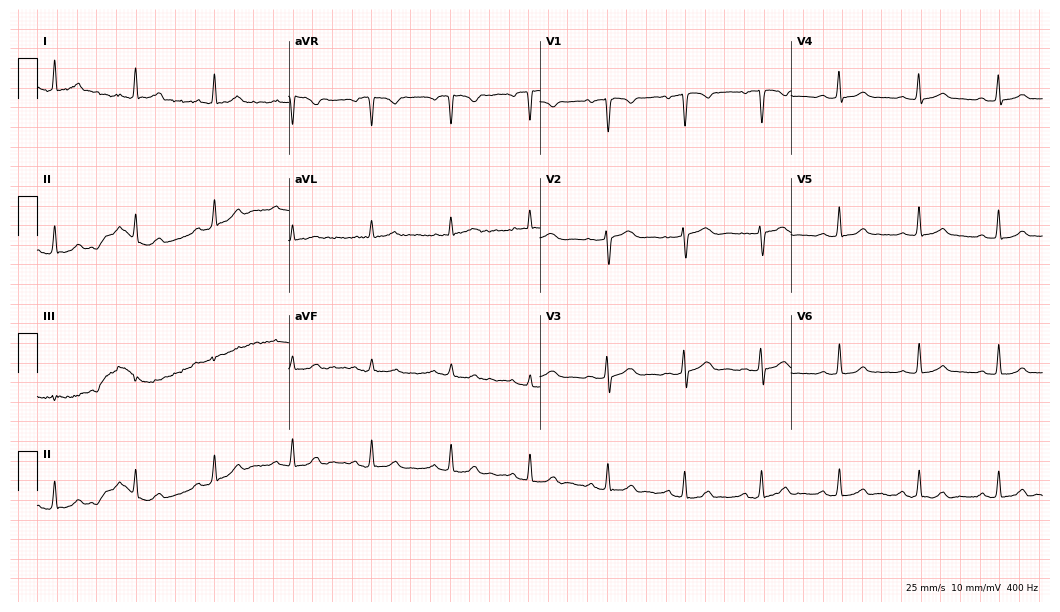
Electrocardiogram (10.2-second recording at 400 Hz), a 39-year-old female. Overall reading on record: normal ECG.